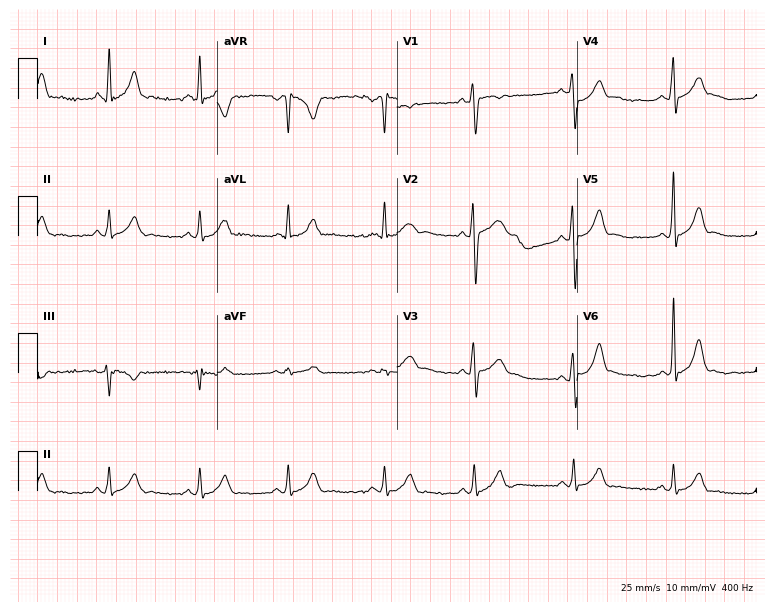
12-lead ECG (7.3-second recording at 400 Hz) from a 30-year-old male. Screened for six findings — first-degree AV block, right bundle branch block, left bundle branch block, sinus bradycardia, atrial fibrillation, sinus tachycardia — none is recorded. Other findings, if any, are not listed.